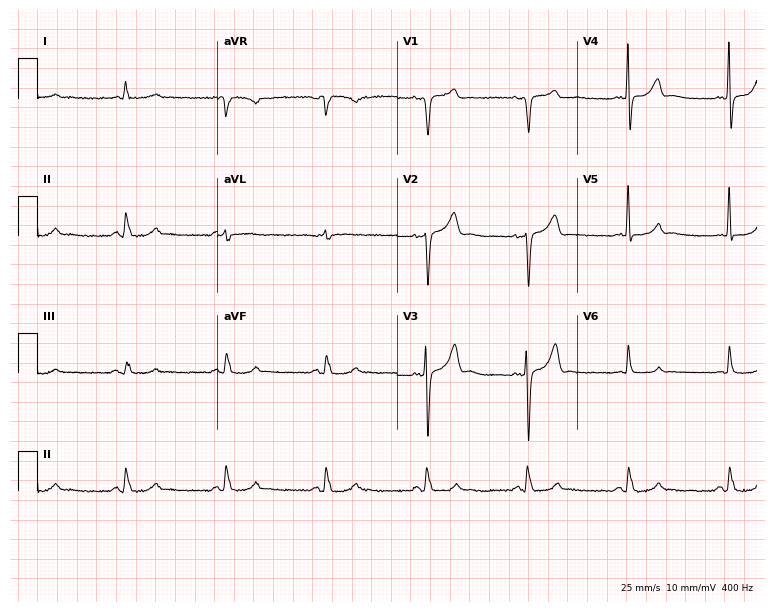
12-lead ECG from an 83-year-old male patient. Recorded interpretation: within normal limits.